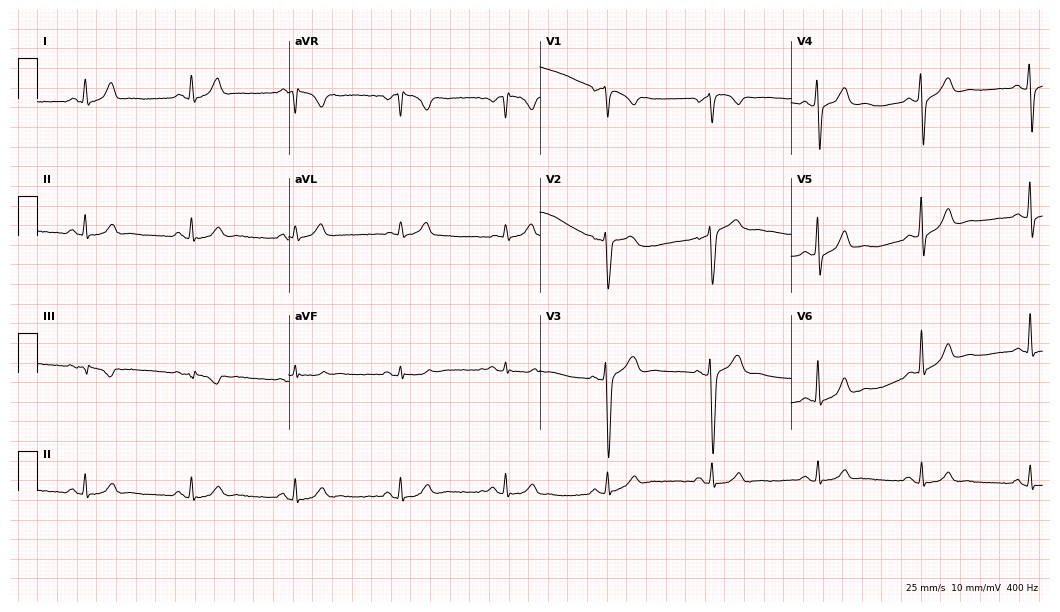
Standard 12-lead ECG recorded from a 56-year-old man (10.2-second recording at 400 Hz). Read as a normal ECG.